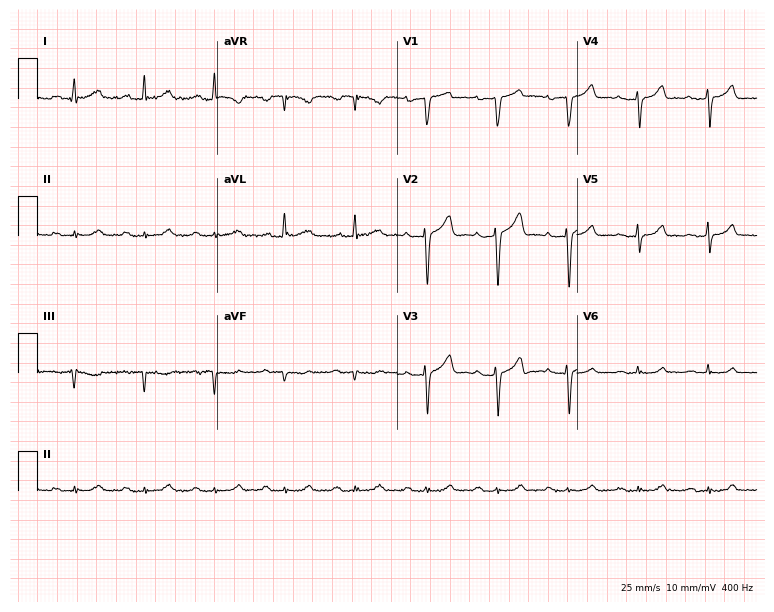
Standard 12-lead ECG recorded from a 63-year-old male patient (7.3-second recording at 400 Hz). None of these six findings is recorded: first-degree AV block, right bundle branch block, left bundle branch block, sinus bradycardia, atrial fibrillation, sinus tachycardia. Only these six findings were labelled.